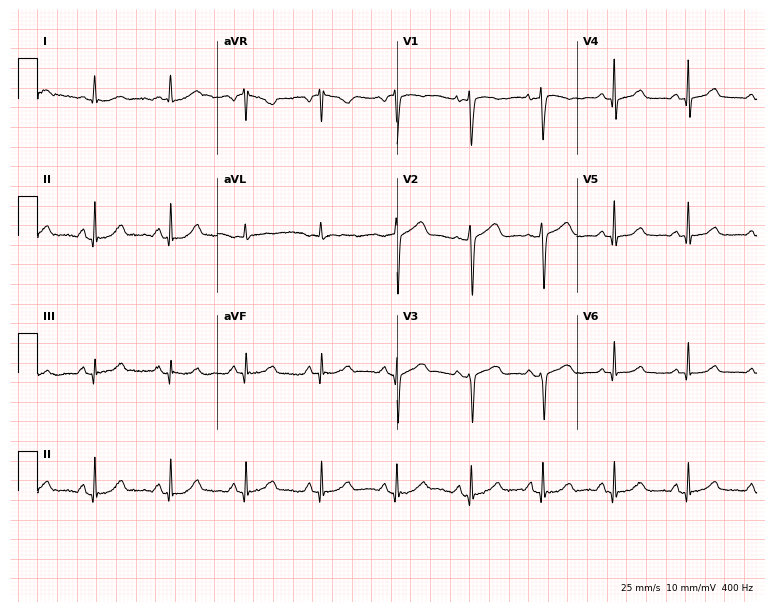
12-lead ECG (7.3-second recording at 400 Hz) from a 67-year-old woman. Labelled as a normal ECG.